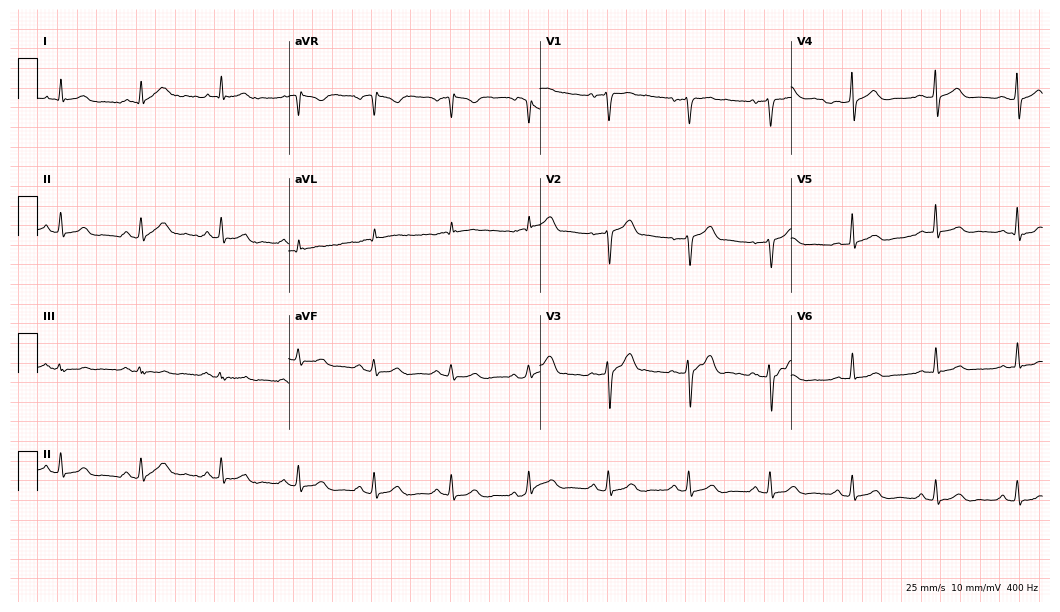
12-lead ECG from a 45-year-old man. Screened for six findings — first-degree AV block, right bundle branch block, left bundle branch block, sinus bradycardia, atrial fibrillation, sinus tachycardia — none is recorded.